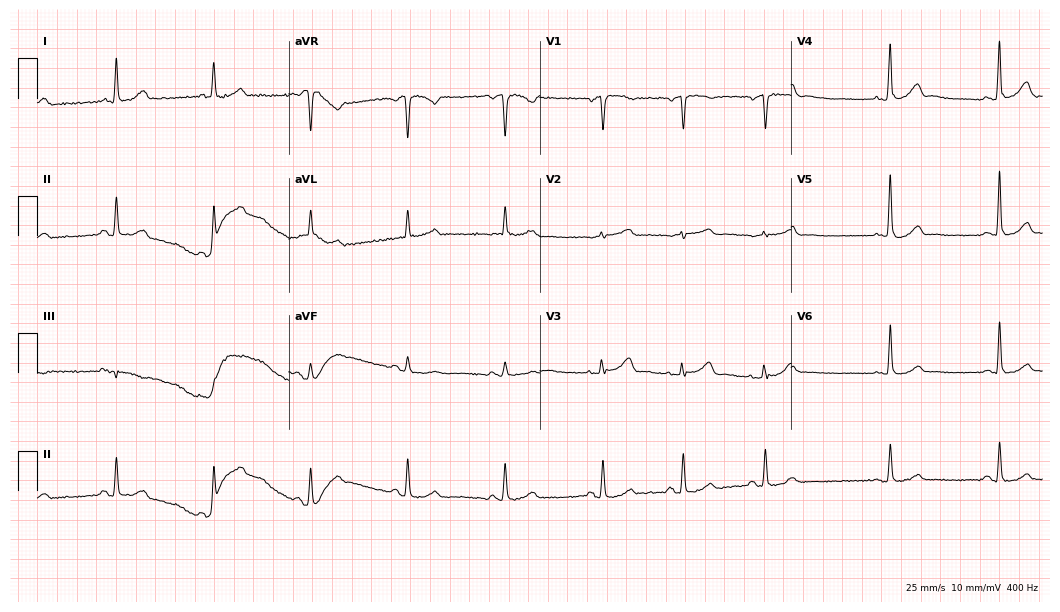
Standard 12-lead ECG recorded from a female patient, 63 years old. Read as a normal ECG.